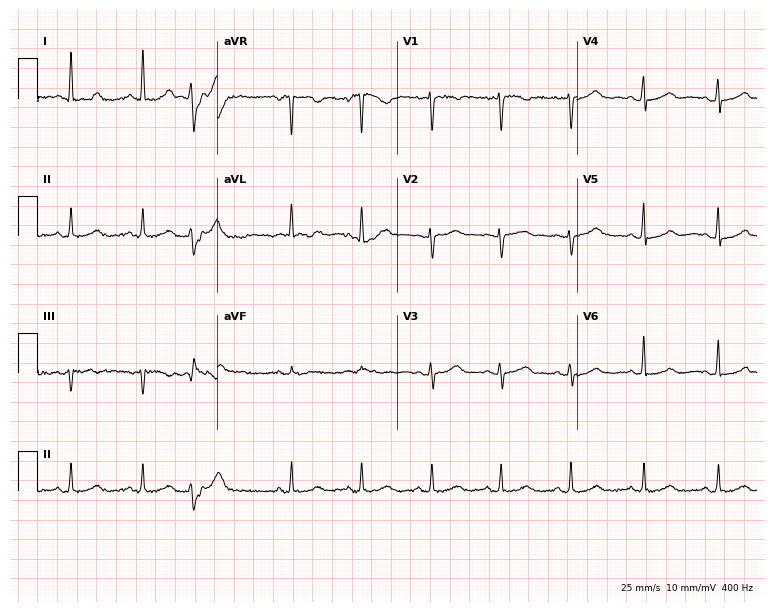
Electrocardiogram, a 52-year-old female patient. Of the six screened findings (first-degree AV block, right bundle branch block (RBBB), left bundle branch block (LBBB), sinus bradycardia, atrial fibrillation (AF), sinus tachycardia), none is recorded. Findings outside these six are not listed.